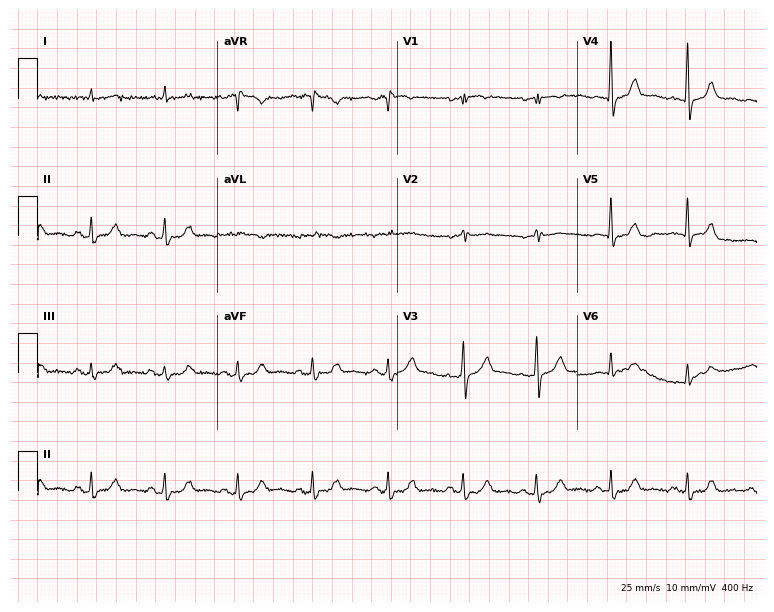
ECG (7.3-second recording at 400 Hz) — a male patient, 70 years old. Labelled as a normal ECG.